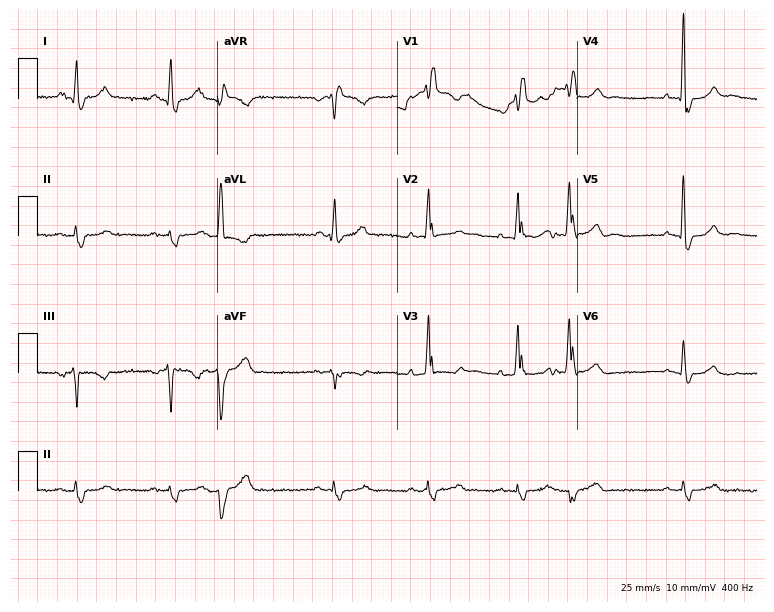
Standard 12-lead ECG recorded from a male patient, 74 years old (7.3-second recording at 400 Hz). The tracing shows right bundle branch block.